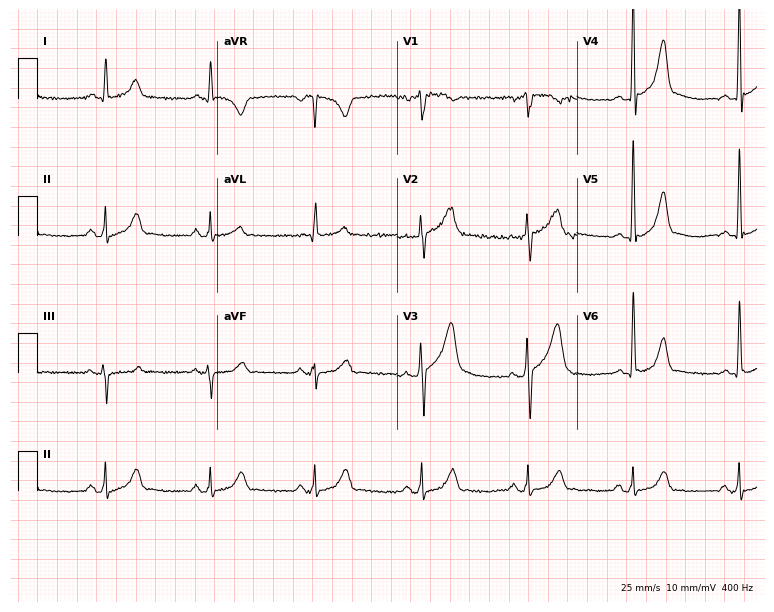
Standard 12-lead ECG recorded from a male, 58 years old (7.3-second recording at 400 Hz). Read as a normal ECG.